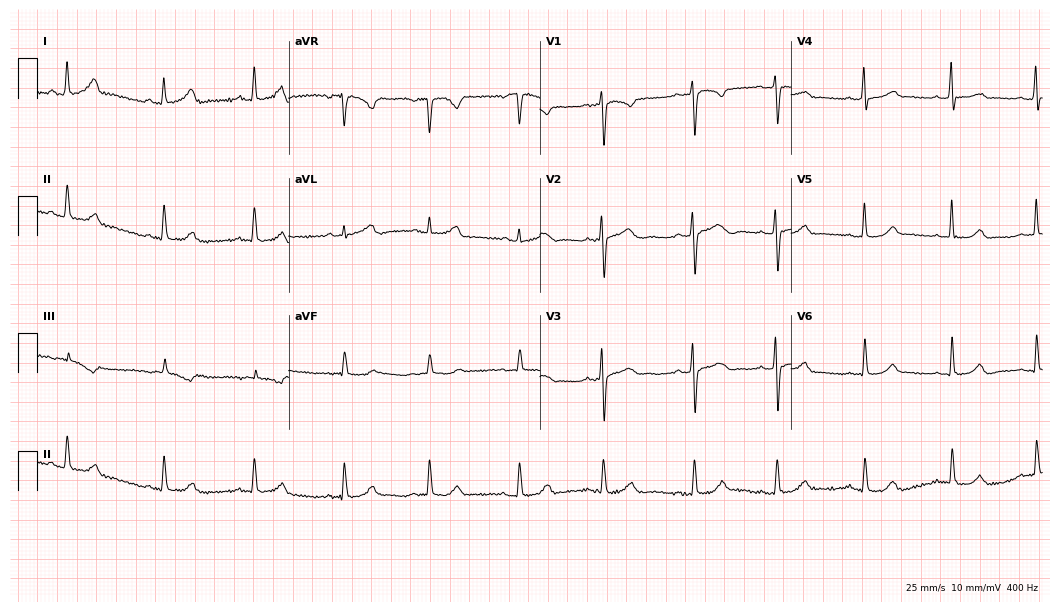
Electrocardiogram, a 30-year-old female. Overall reading on record: normal ECG.